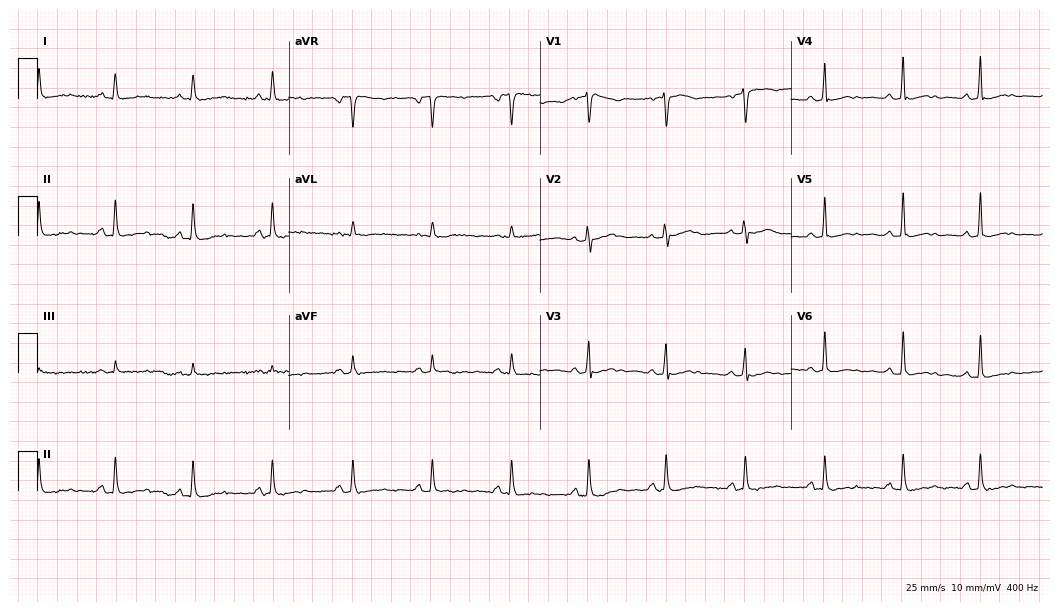
Electrocardiogram (10.2-second recording at 400 Hz), a 47-year-old female patient. Overall reading on record: normal ECG.